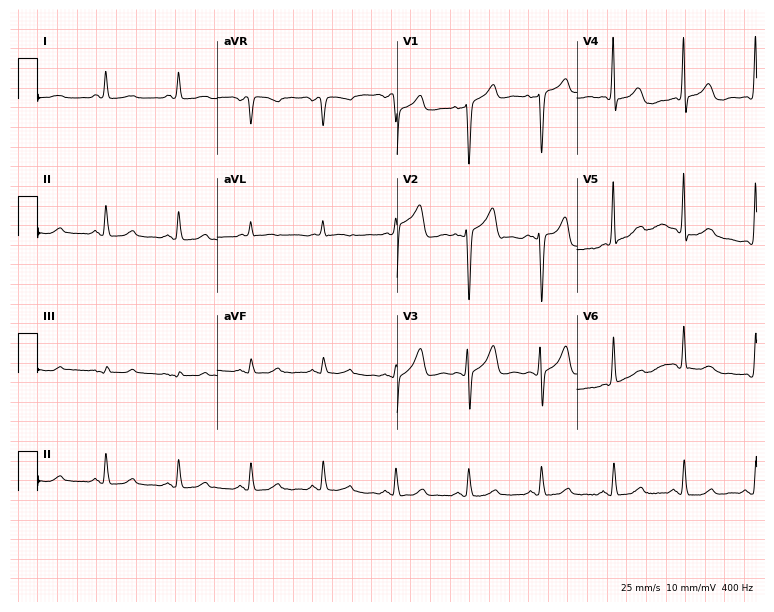
Standard 12-lead ECG recorded from a woman, 79 years old (7.3-second recording at 400 Hz). None of these six findings is recorded: first-degree AV block, right bundle branch block (RBBB), left bundle branch block (LBBB), sinus bradycardia, atrial fibrillation (AF), sinus tachycardia.